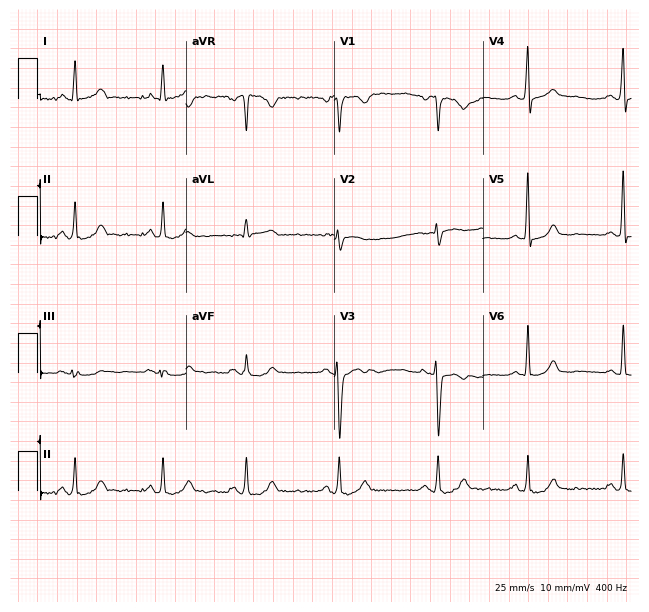
Standard 12-lead ECG recorded from a female patient, 22 years old. Read as a normal ECG.